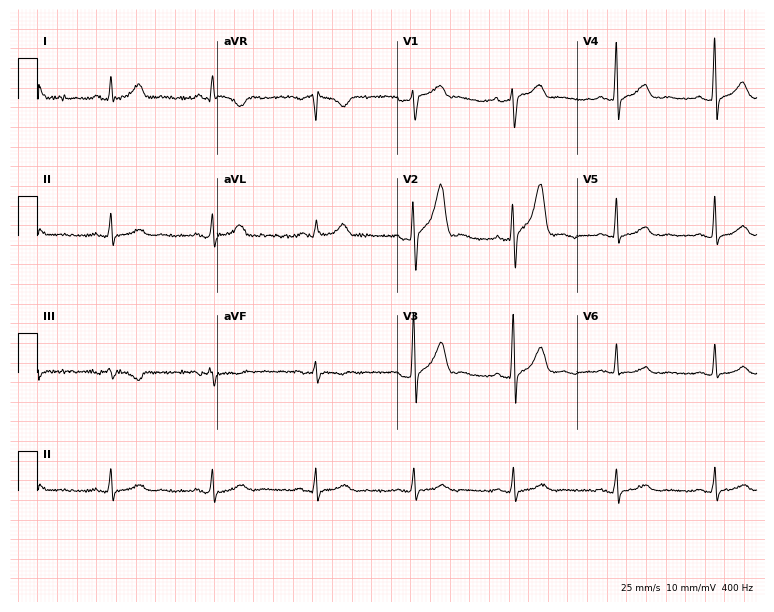
Electrocardiogram, a male patient, 50 years old. Overall reading on record: normal ECG.